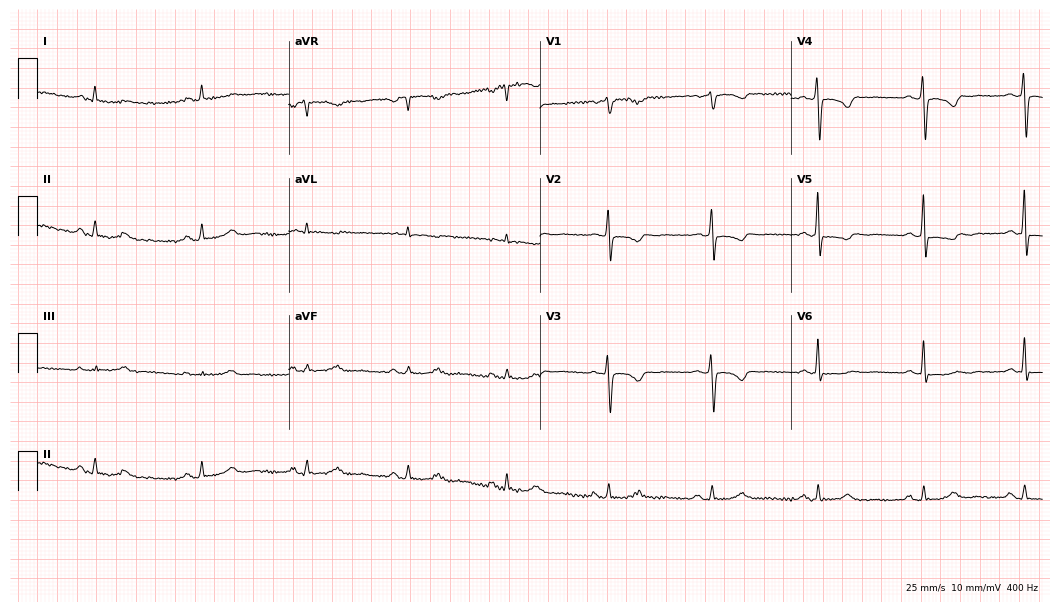
Standard 12-lead ECG recorded from a woman, 63 years old. None of these six findings is recorded: first-degree AV block, right bundle branch block, left bundle branch block, sinus bradycardia, atrial fibrillation, sinus tachycardia. Findings outside these six are not listed.